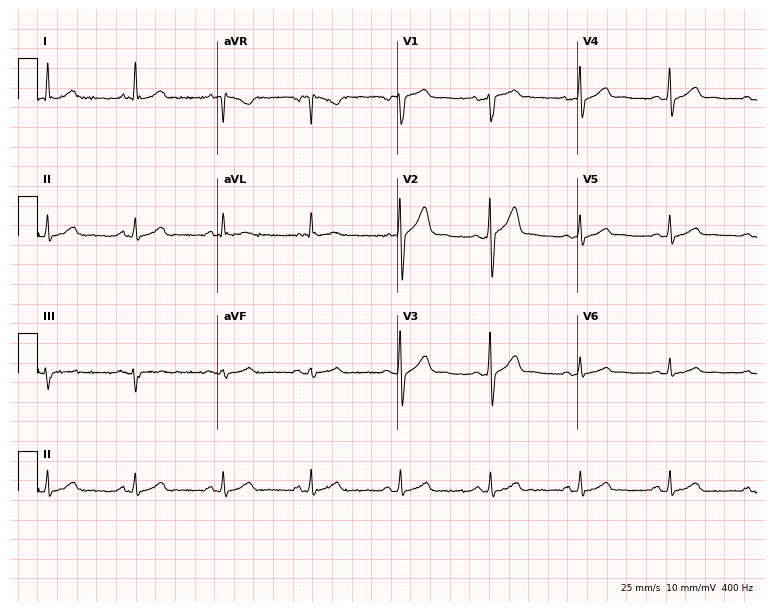
12-lead ECG from a man, 50 years old (7.3-second recording at 400 Hz). Recorded interpretation: within normal limits.